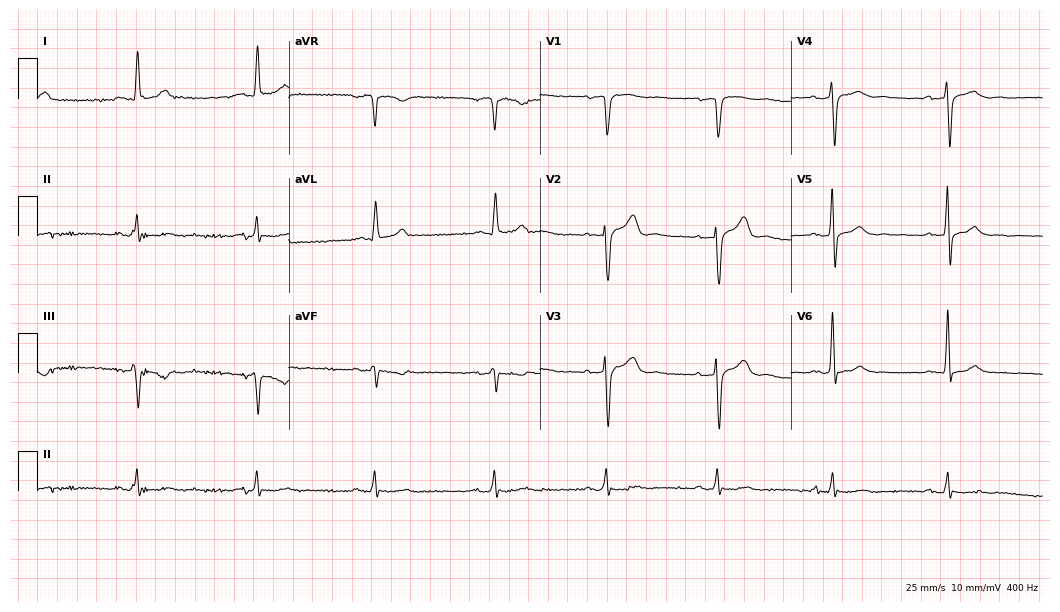
ECG (10.2-second recording at 400 Hz) — a 54-year-old female patient. Screened for six findings — first-degree AV block, right bundle branch block, left bundle branch block, sinus bradycardia, atrial fibrillation, sinus tachycardia — none is recorded. Findings outside these six are not listed.